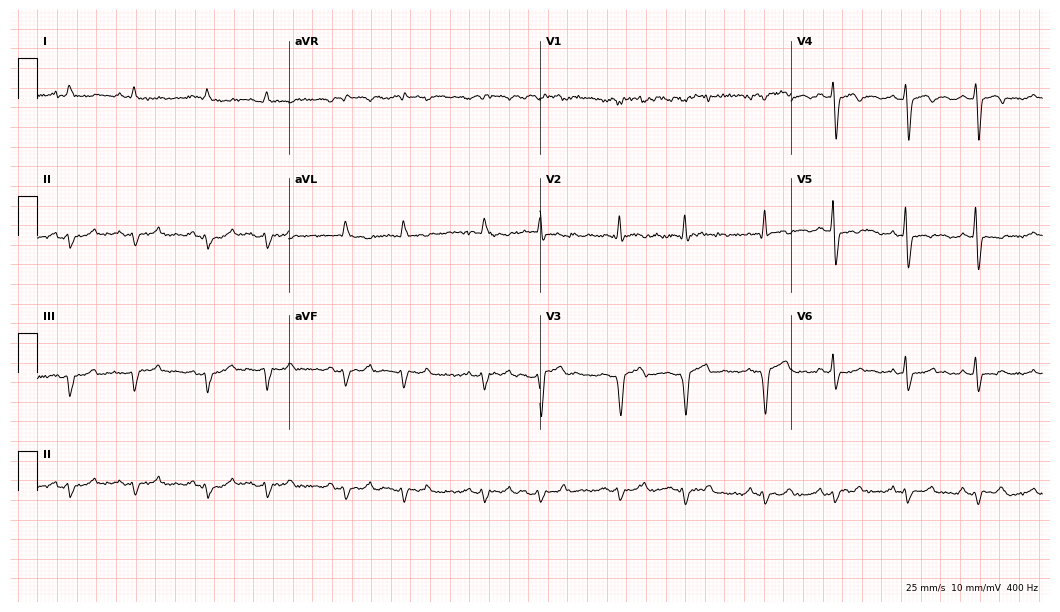
ECG — a male, 75 years old. Screened for six findings — first-degree AV block, right bundle branch block, left bundle branch block, sinus bradycardia, atrial fibrillation, sinus tachycardia — none is recorded.